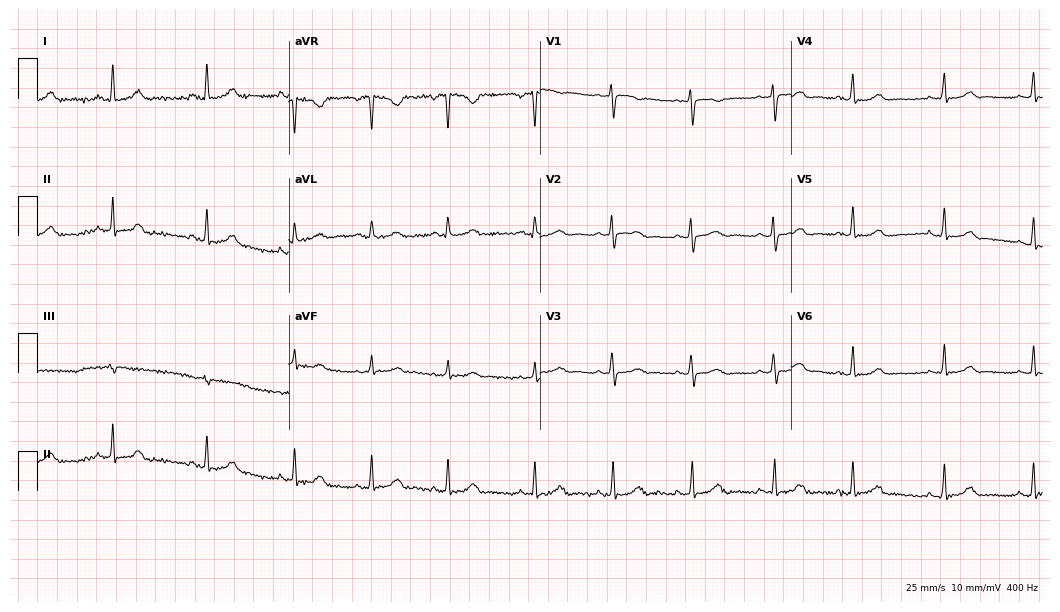
Electrocardiogram, a female patient, 37 years old. Of the six screened findings (first-degree AV block, right bundle branch block, left bundle branch block, sinus bradycardia, atrial fibrillation, sinus tachycardia), none is recorded.